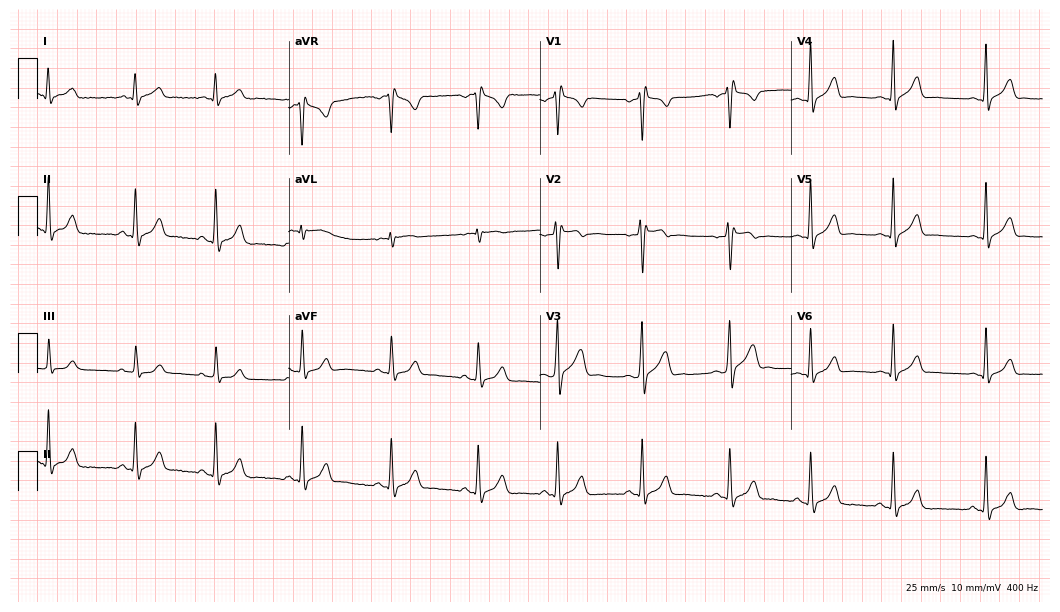
ECG — a male patient, 23 years old. Screened for six findings — first-degree AV block, right bundle branch block (RBBB), left bundle branch block (LBBB), sinus bradycardia, atrial fibrillation (AF), sinus tachycardia — none is recorded.